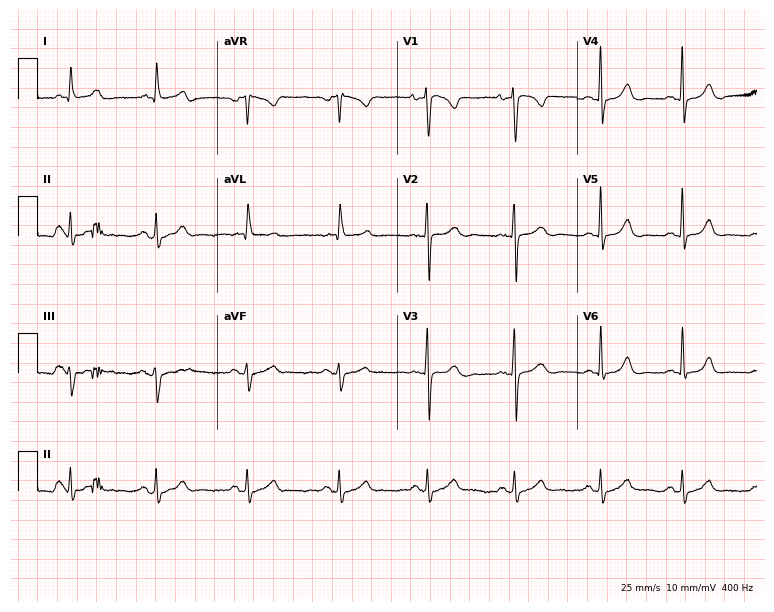
Resting 12-lead electrocardiogram. Patient: a 32-year-old woman. None of these six findings is recorded: first-degree AV block, right bundle branch block, left bundle branch block, sinus bradycardia, atrial fibrillation, sinus tachycardia. Findings outside these six are not listed.